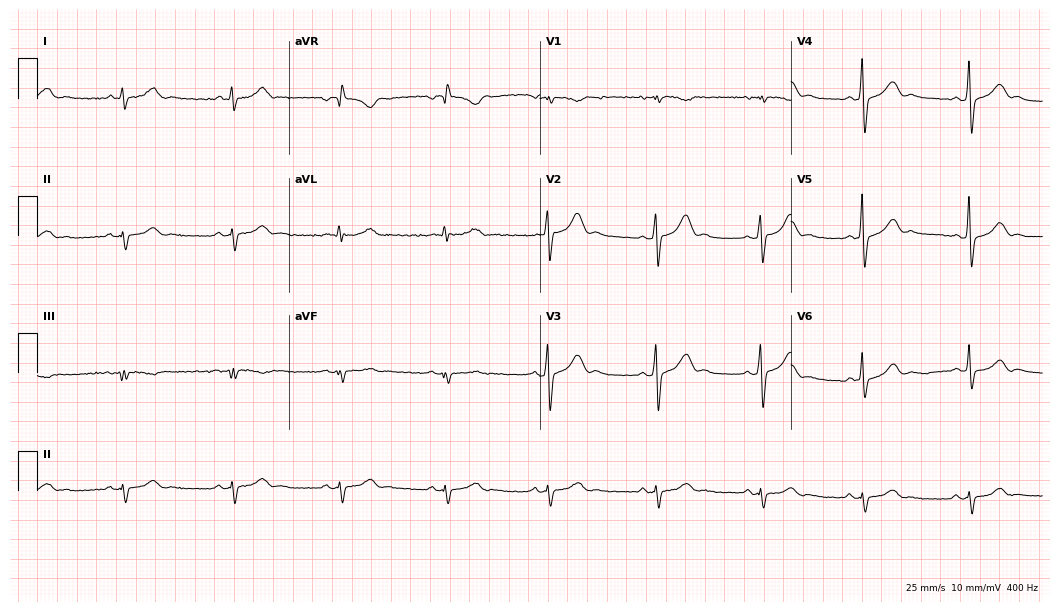
Electrocardiogram, a 55-year-old male patient. Of the six screened findings (first-degree AV block, right bundle branch block, left bundle branch block, sinus bradycardia, atrial fibrillation, sinus tachycardia), none is recorded. Findings outside these six are not listed.